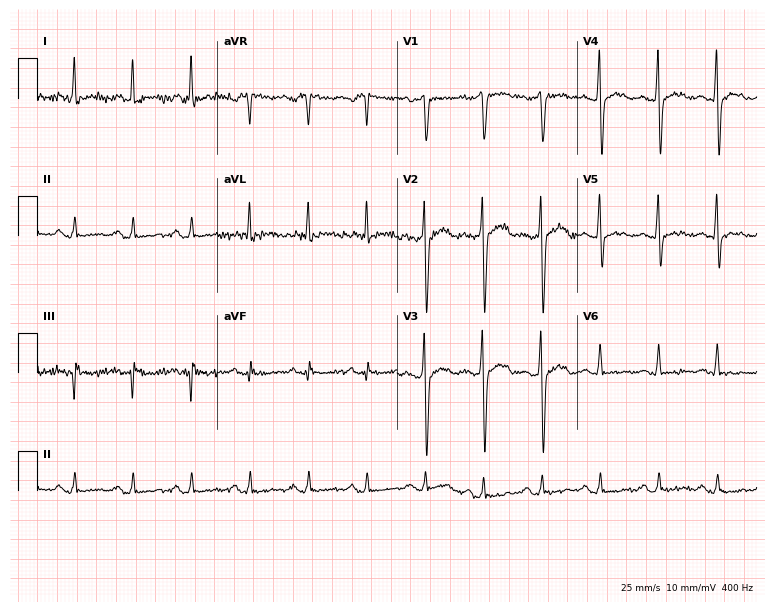
12-lead ECG from a male, 46 years old (7.3-second recording at 400 Hz). No first-degree AV block, right bundle branch block, left bundle branch block, sinus bradycardia, atrial fibrillation or sinus tachycardia recorded for this tracing.